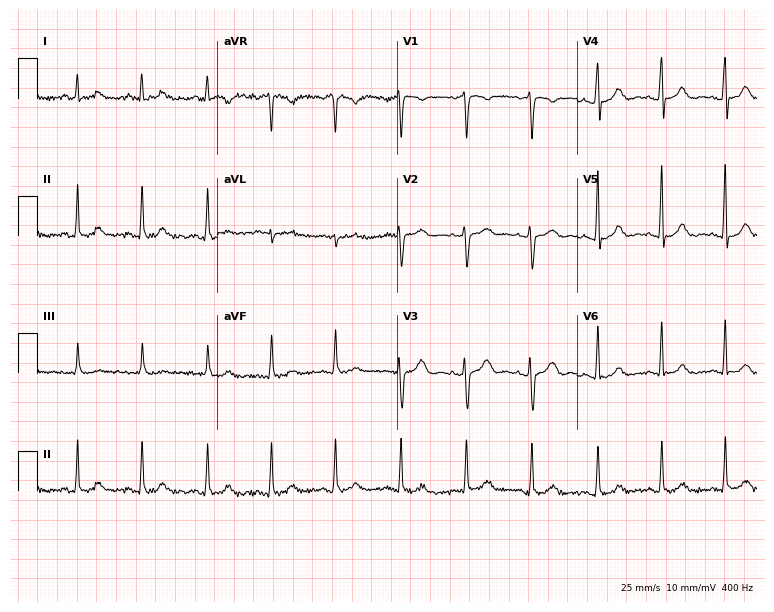
12-lead ECG from a woman, 37 years old. Recorded interpretation: within normal limits.